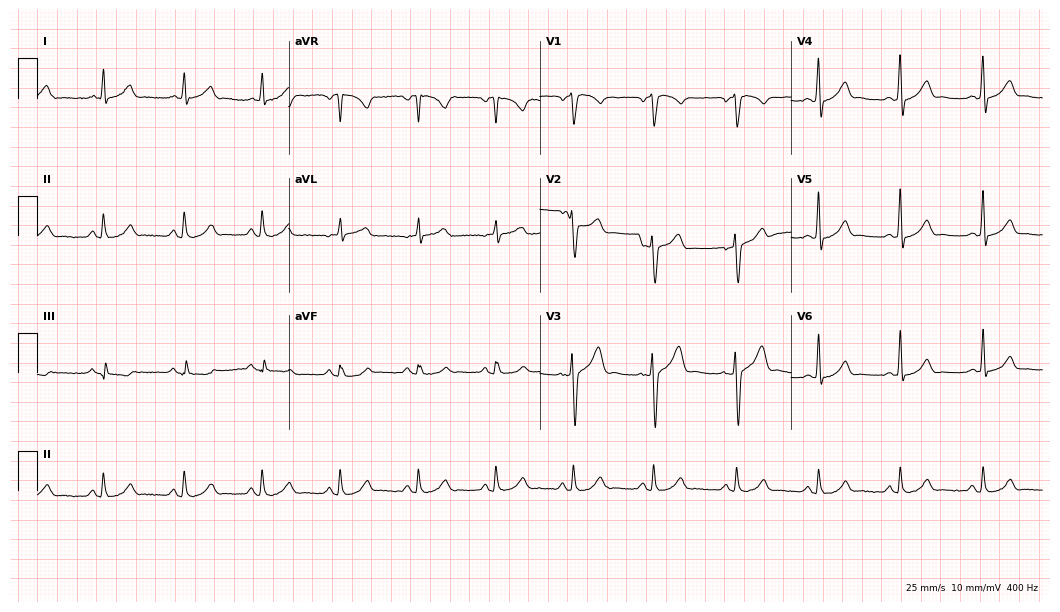
Electrocardiogram, a 48-year-old man. Overall reading on record: normal ECG.